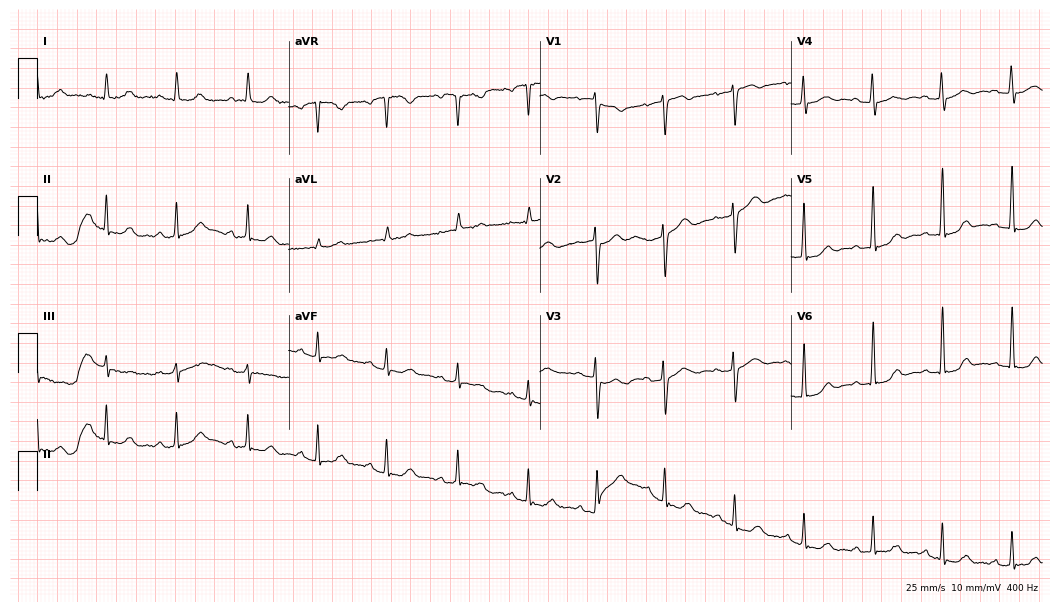
Electrocardiogram, a woman, 74 years old. Of the six screened findings (first-degree AV block, right bundle branch block, left bundle branch block, sinus bradycardia, atrial fibrillation, sinus tachycardia), none is recorded.